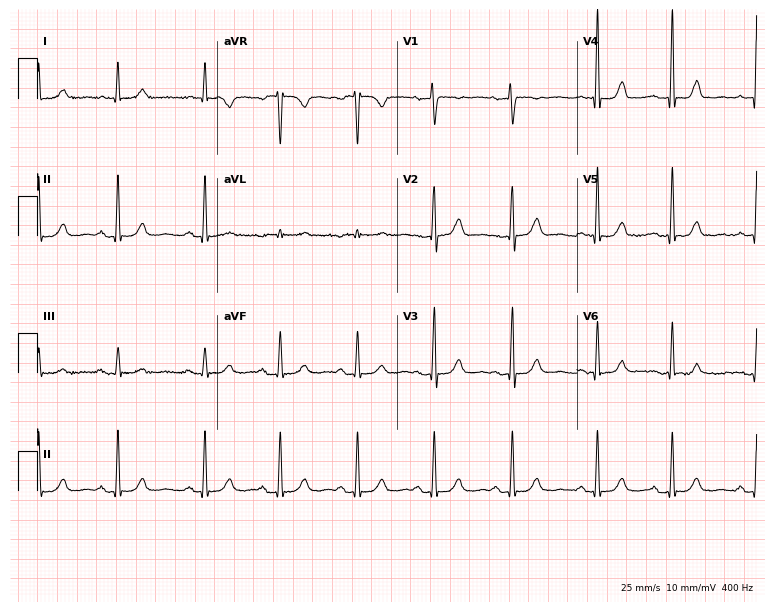
Electrocardiogram, a 59-year-old female patient. Overall reading on record: normal ECG.